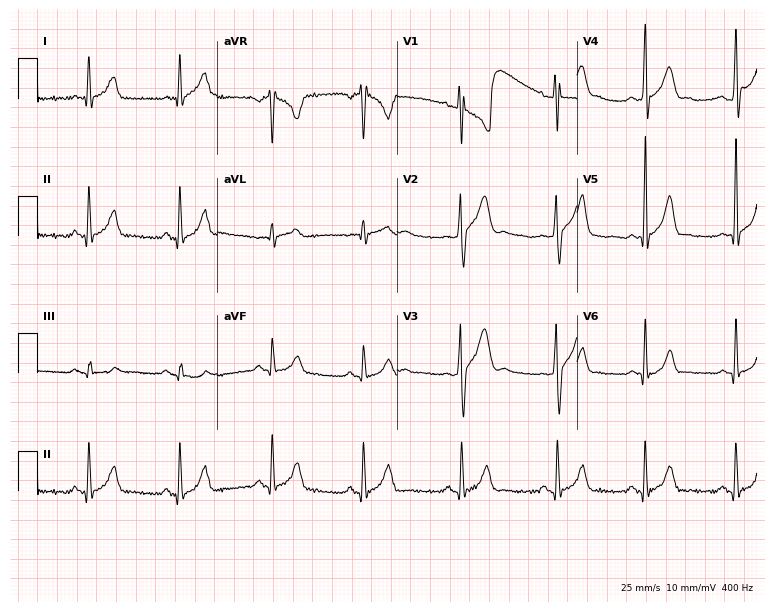
ECG (7.3-second recording at 400 Hz) — a man, 21 years old. Screened for six findings — first-degree AV block, right bundle branch block (RBBB), left bundle branch block (LBBB), sinus bradycardia, atrial fibrillation (AF), sinus tachycardia — none is recorded.